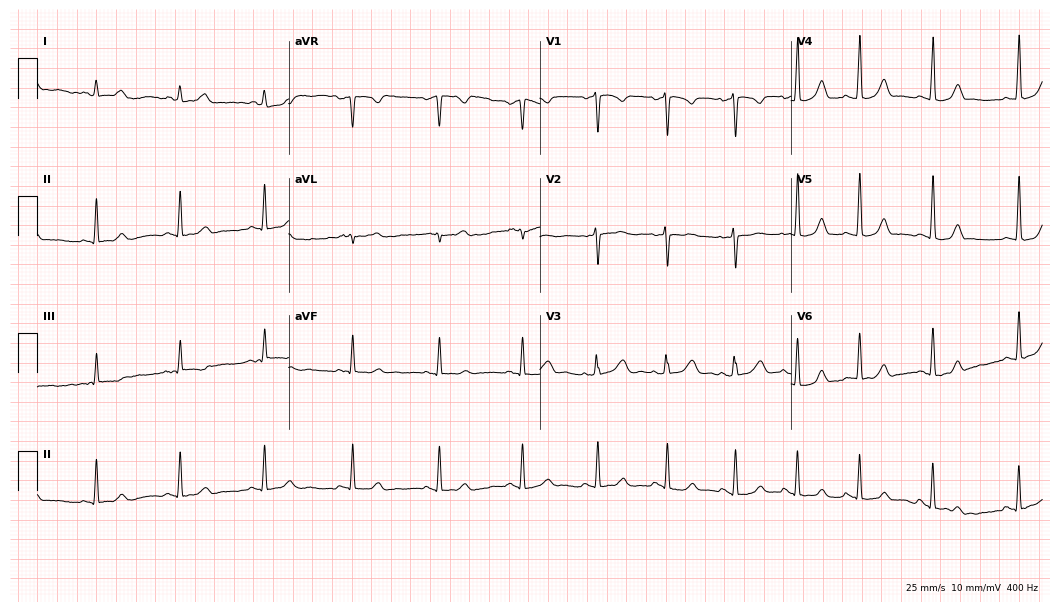
12-lead ECG from a female patient, 28 years old. Labelled as a normal ECG.